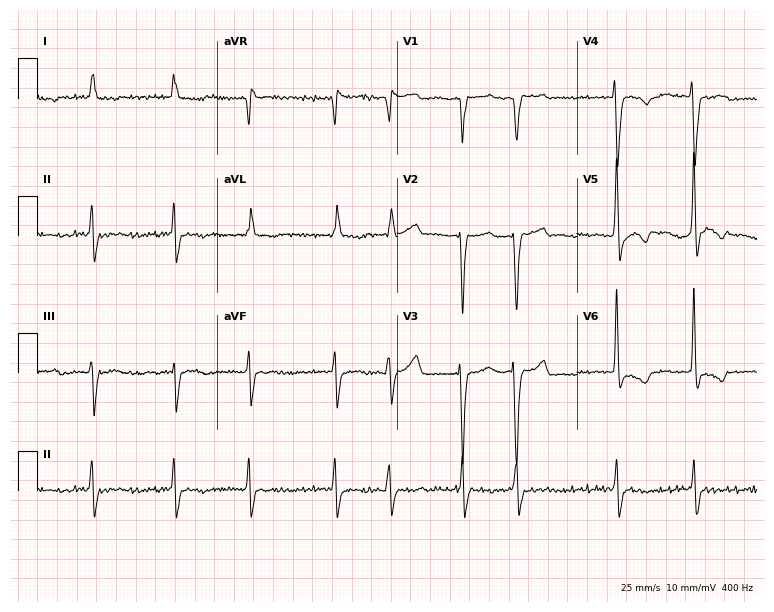
12-lead ECG from a 62-year-old female patient. Findings include left bundle branch block, atrial fibrillation.